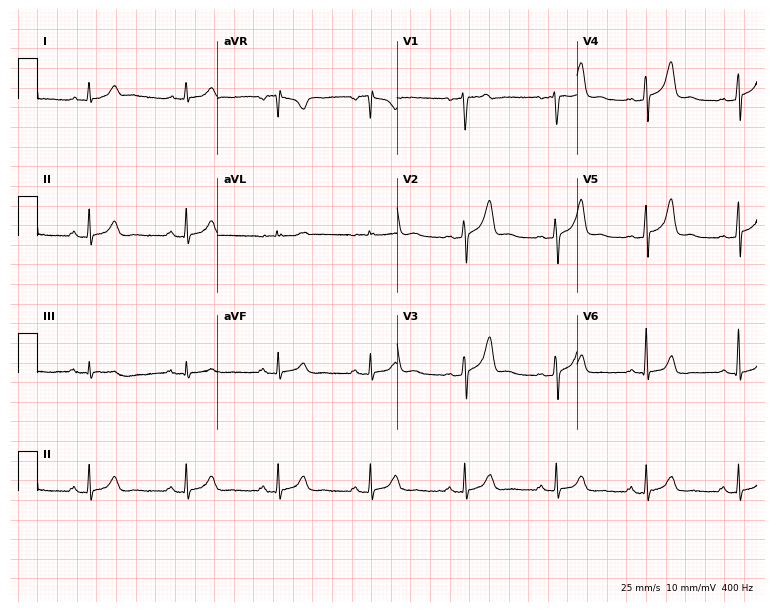
ECG — a 38-year-old male. Screened for six findings — first-degree AV block, right bundle branch block, left bundle branch block, sinus bradycardia, atrial fibrillation, sinus tachycardia — none is recorded.